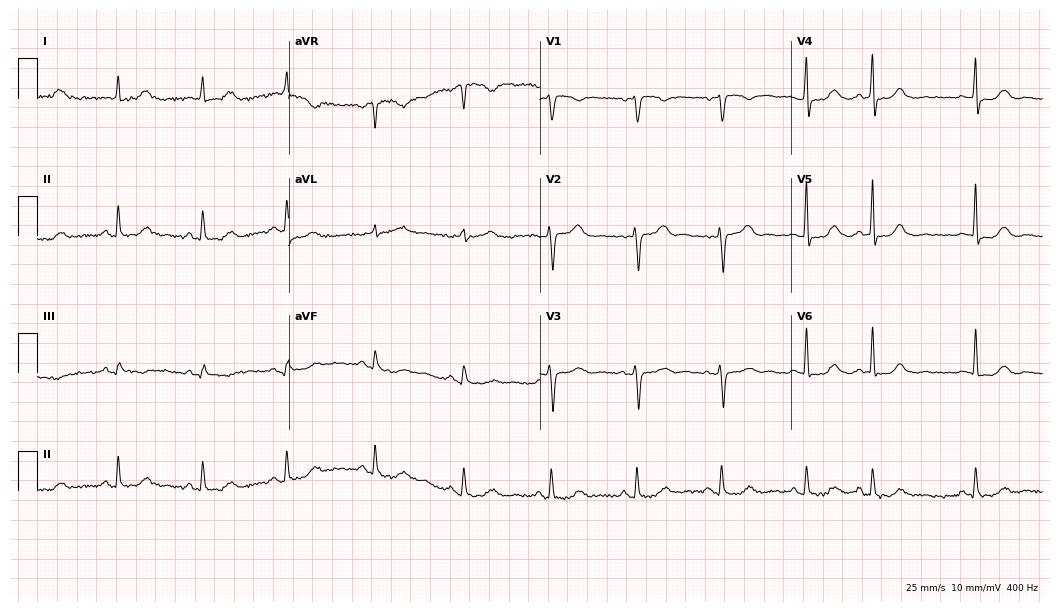
12-lead ECG from a 76-year-old female (10.2-second recording at 400 Hz). No first-degree AV block, right bundle branch block, left bundle branch block, sinus bradycardia, atrial fibrillation or sinus tachycardia recorded for this tracing. Only these six findings were labelled.